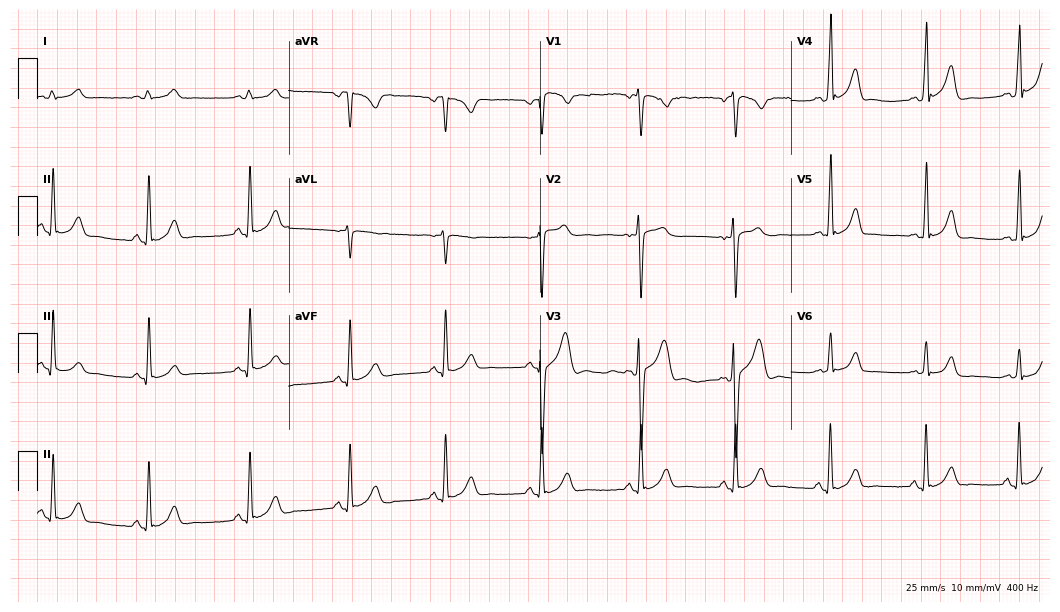
Resting 12-lead electrocardiogram (10.2-second recording at 400 Hz). Patient: a 25-year-old male. Read as a normal ECG.